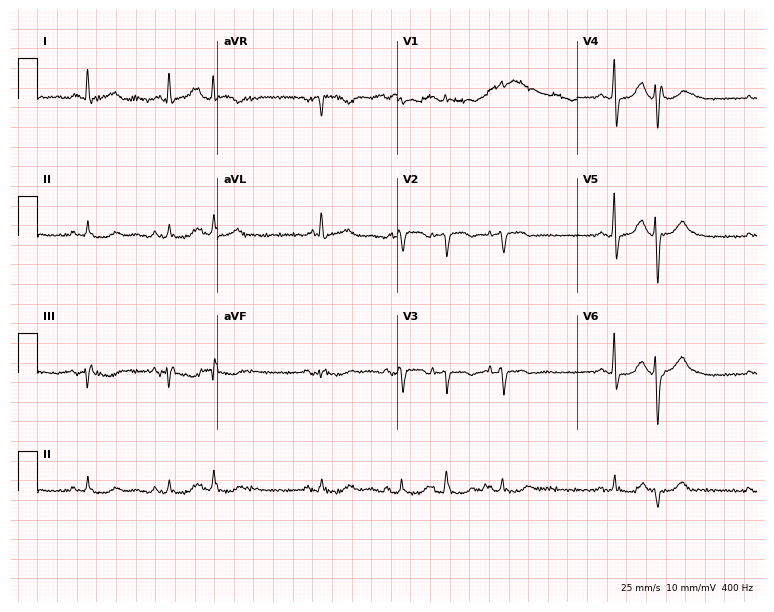
Resting 12-lead electrocardiogram. Patient: a female, 81 years old. None of these six findings is recorded: first-degree AV block, right bundle branch block, left bundle branch block, sinus bradycardia, atrial fibrillation, sinus tachycardia. Only these six findings were labelled.